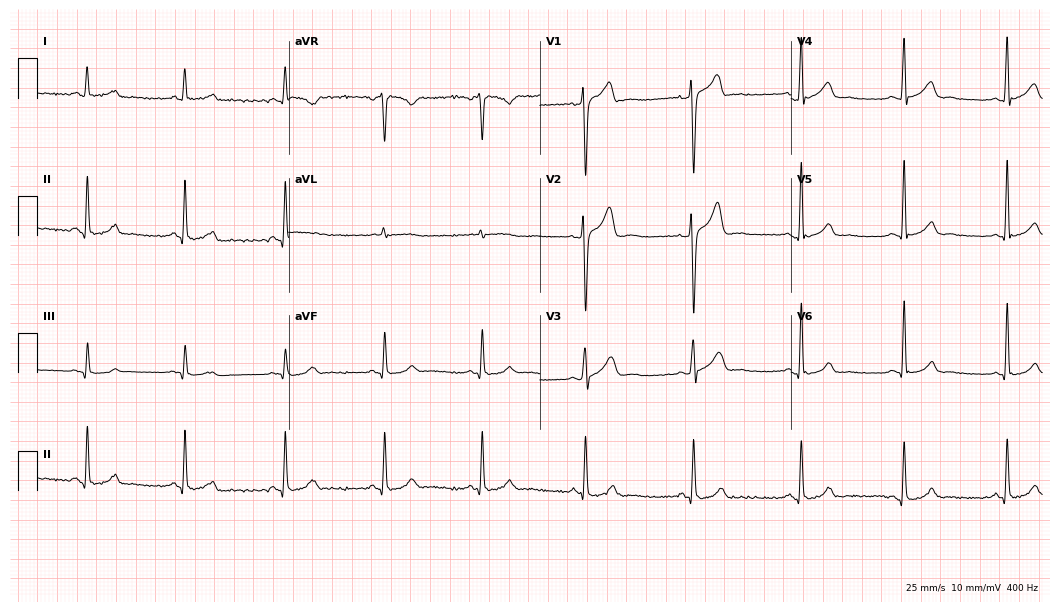
Resting 12-lead electrocardiogram (10.2-second recording at 400 Hz). Patient: a 34-year-old male. Read as a normal ECG.